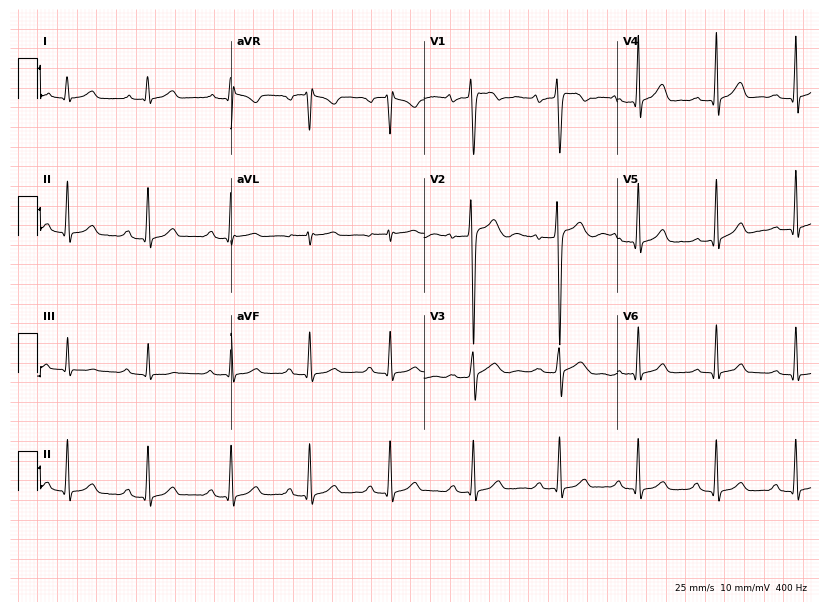
ECG — a male patient, 18 years old. Labelled as a normal ECG.